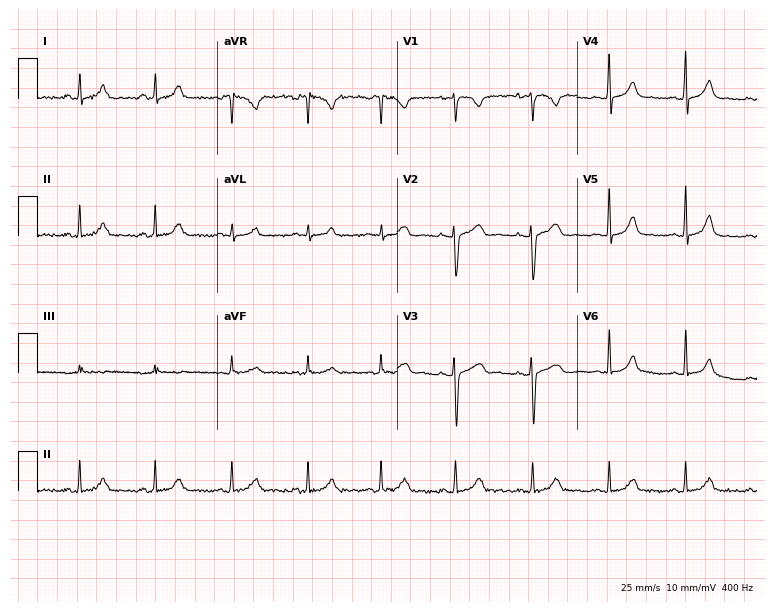
Standard 12-lead ECG recorded from a woman, 24 years old (7.3-second recording at 400 Hz). None of these six findings is recorded: first-degree AV block, right bundle branch block, left bundle branch block, sinus bradycardia, atrial fibrillation, sinus tachycardia.